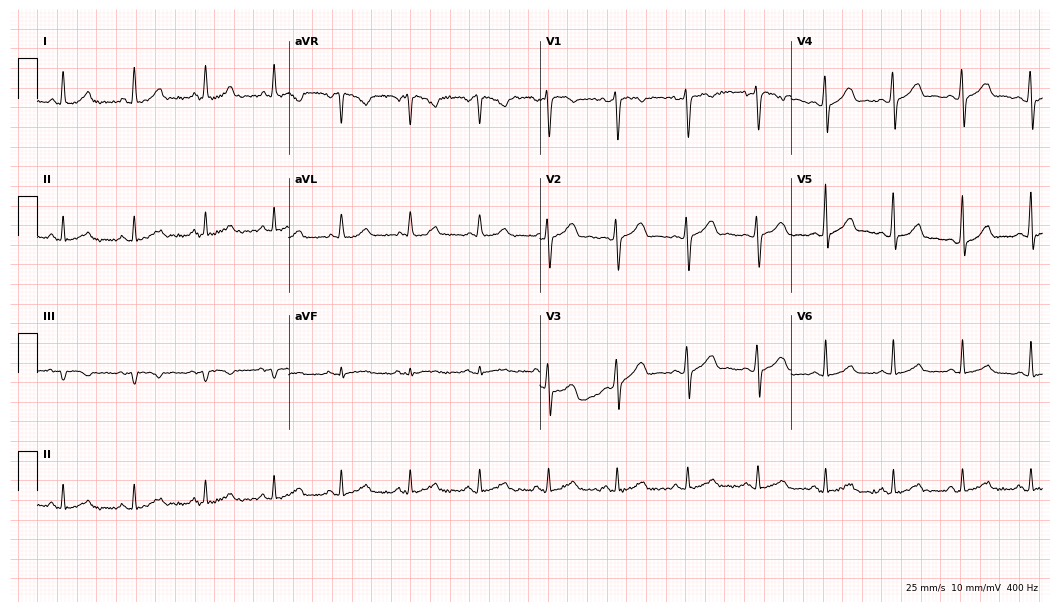
ECG (10.2-second recording at 400 Hz) — a female patient, 34 years old. Labelled as a normal ECG.